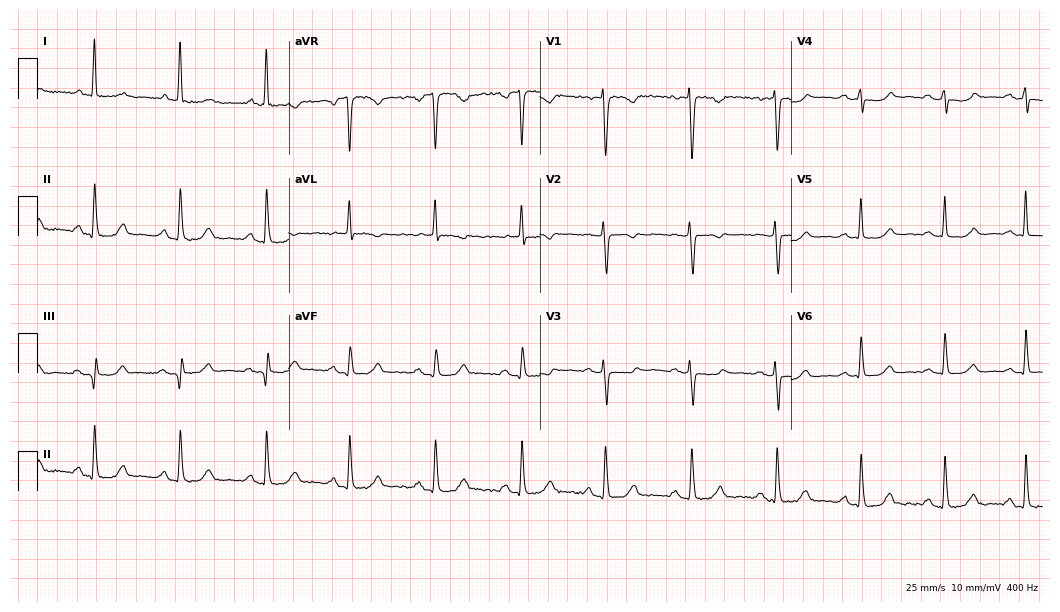
Electrocardiogram, a 65-year-old female patient. Overall reading on record: normal ECG.